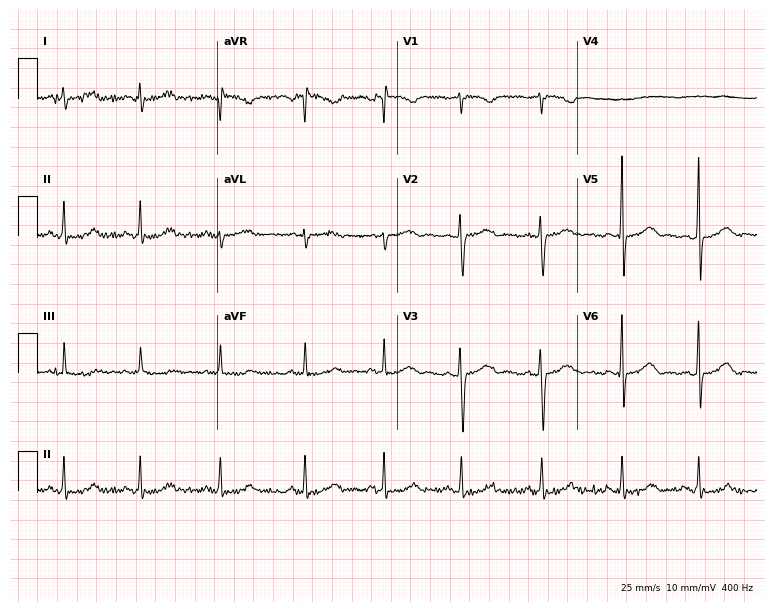
12-lead ECG from a 29-year-old female (7.3-second recording at 400 Hz). Recorded interpretation: within normal limits.